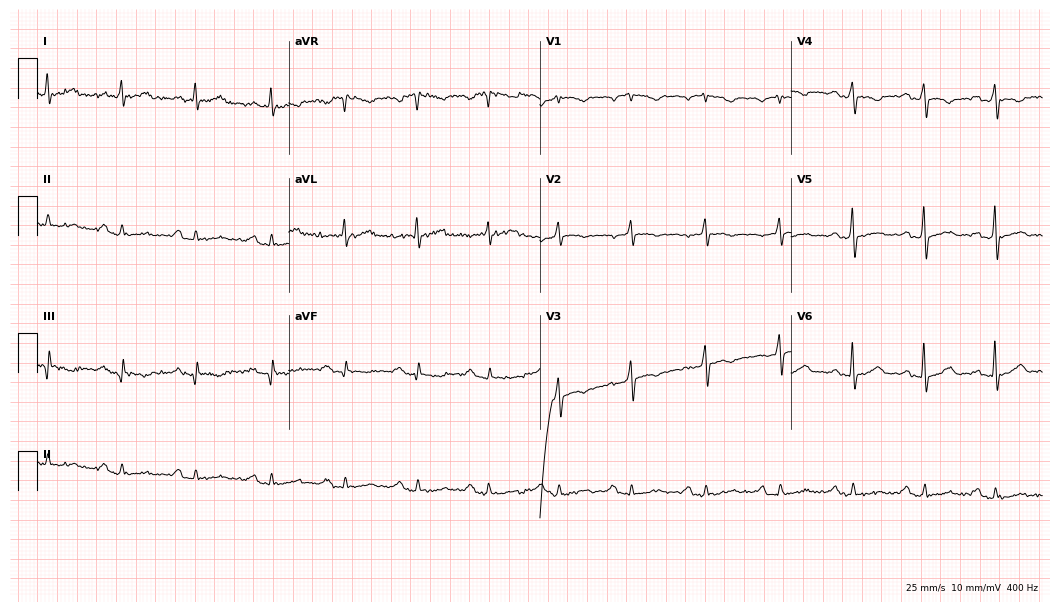
Resting 12-lead electrocardiogram. Patient: a 75-year-old male. The tracing shows first-degree AV block.